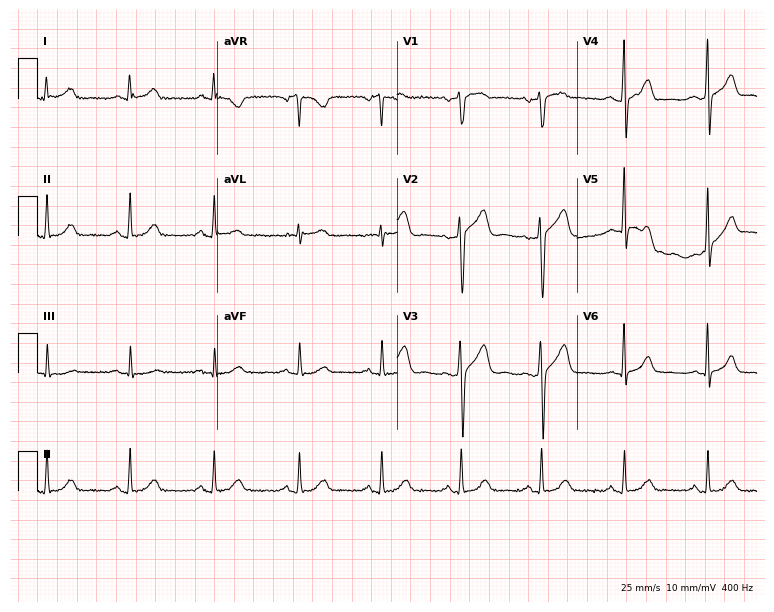
12-lead ECG from a male patient, 49 years old (7.3-second recording at 400 Hz). No first-degree AV block, right bundle branch block, left bundle branch block, sinus bradycardia, atrial fibrillation or sinus tachycardia recorded for this tracing. Findings outside these six are not listed.